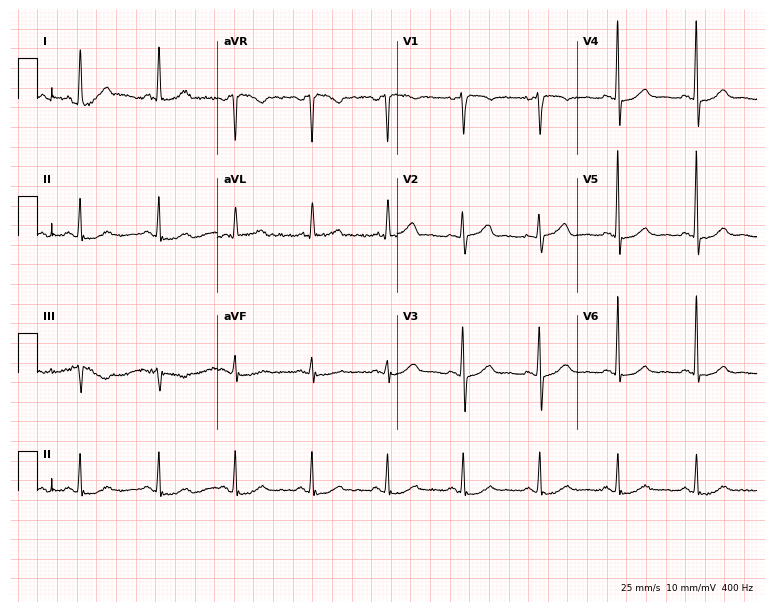
ECG (7.3-second recording at 400 Hz) — a 62-year-old female. Screened for six findings — first-degree AV block, right bundle branch block, left bundle branch block, sinus bradycardia, atrial fibrillation, sinus tachycardia — none is recorded.